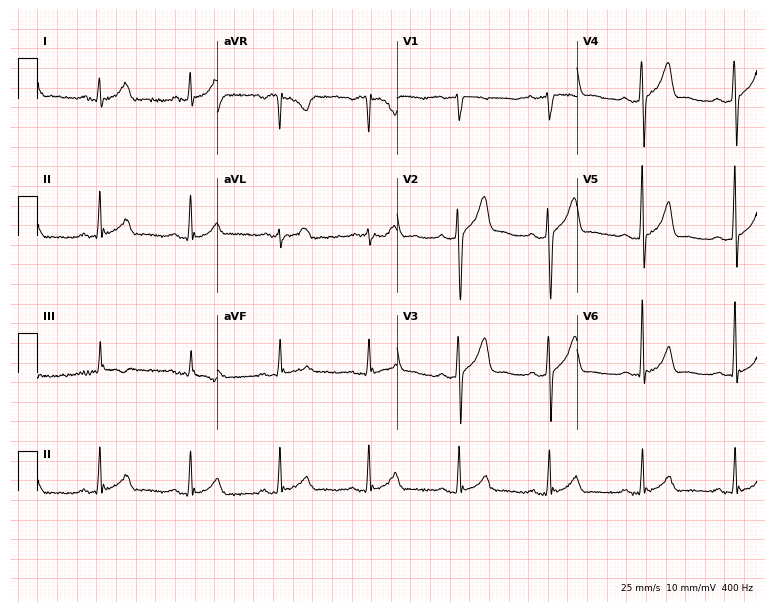
Electrocardiogram (7.3-second recording at 400 Hz), a 26-year-old male patient. Overall reading on record: normal ECG.